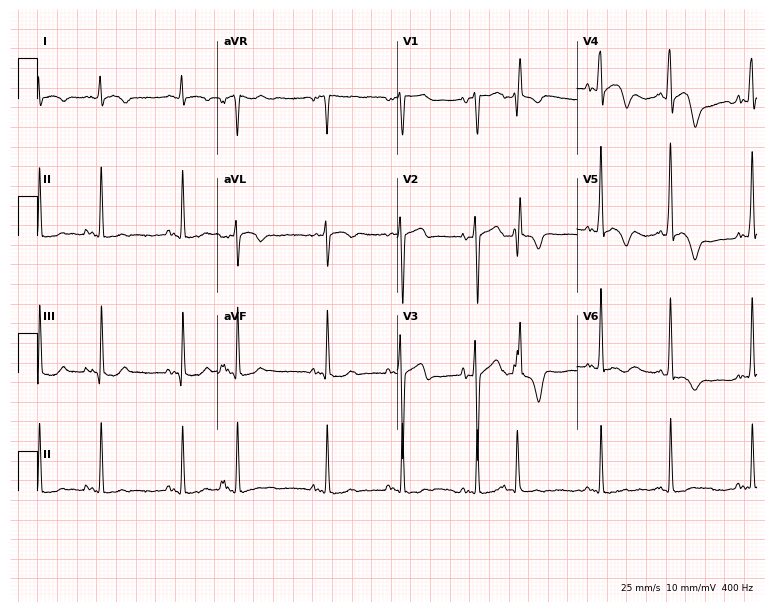
Standard 12-lead ECG recorded from a man, 70 years old (7.3-second recording at 400 Hz). None of these six findings is recorded: first-degree AV block, right bundle branch block, left bundle branch block, sinus bradycardia, atrial fibrillation, sinus tachycardia. Other findings, if any, are not listed.